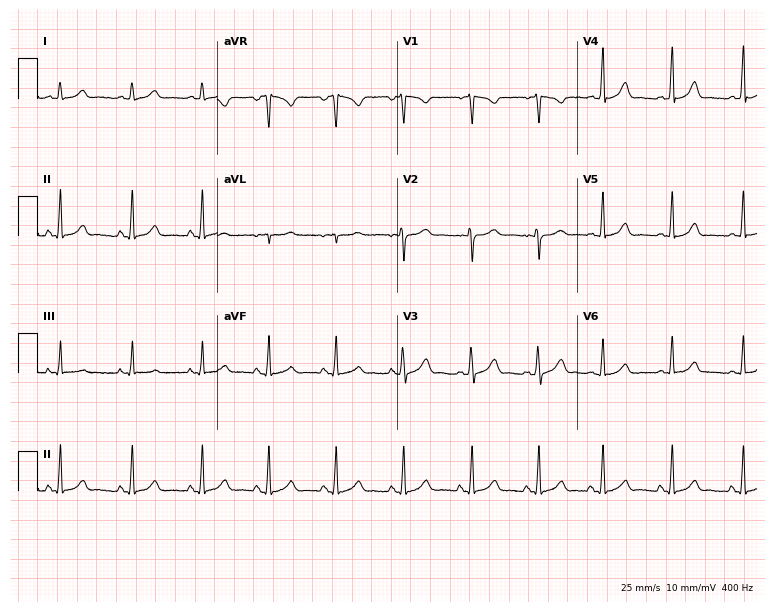
ECG — a 30-year-old woman. Labelled as a normal ECG.